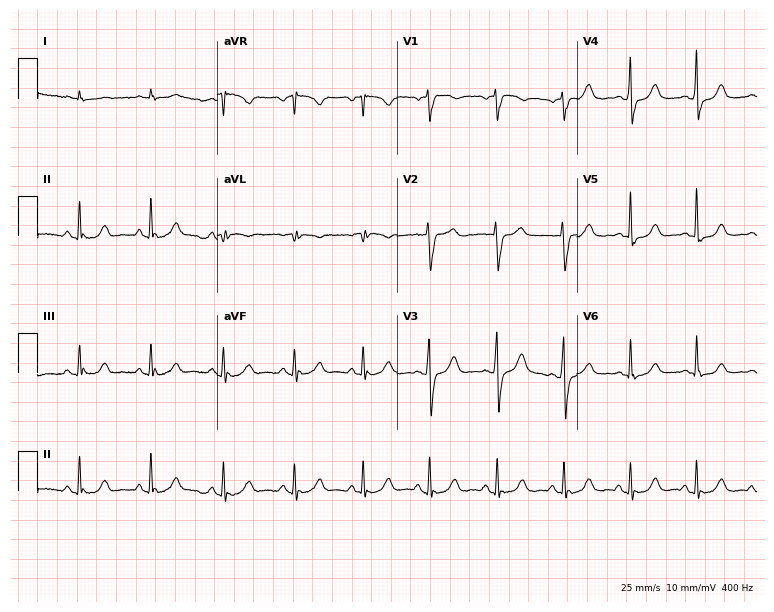
12-lead ECG from a man, 75 years old. Labelled as a normal ECG.